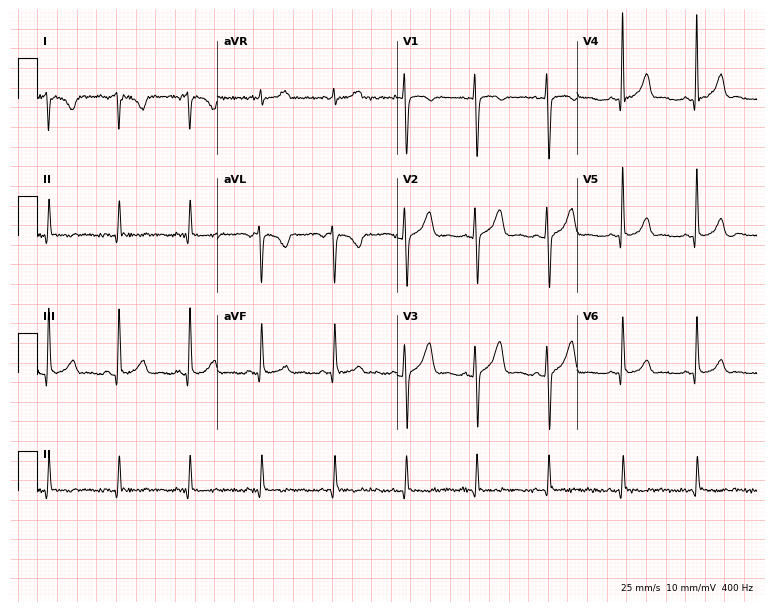
Resting 12-lead electrocardiogram (7.3-second recording at 400 Hz). Patient: a 22-year-old female. None of these six findings is recorded: first-degree AV block, right bundle branch block, left bundle branch block, sinus bradycardia, atrial fibrillation, sinus tachycardia. Findings outside these six are not listed.